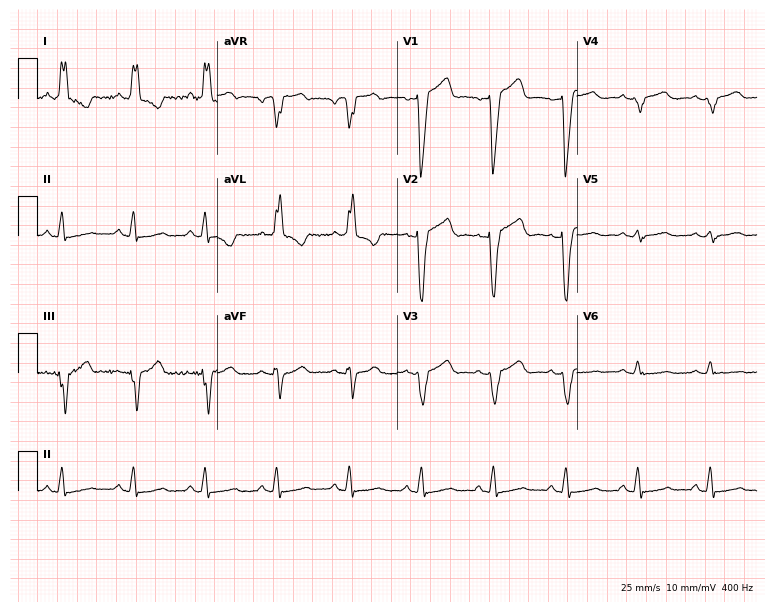
Standard 12-lead ECG recorded from a 66-year-old woman (7.3-second recording at 400 Hz). The tracing shows left bundle branch block (LBBB).